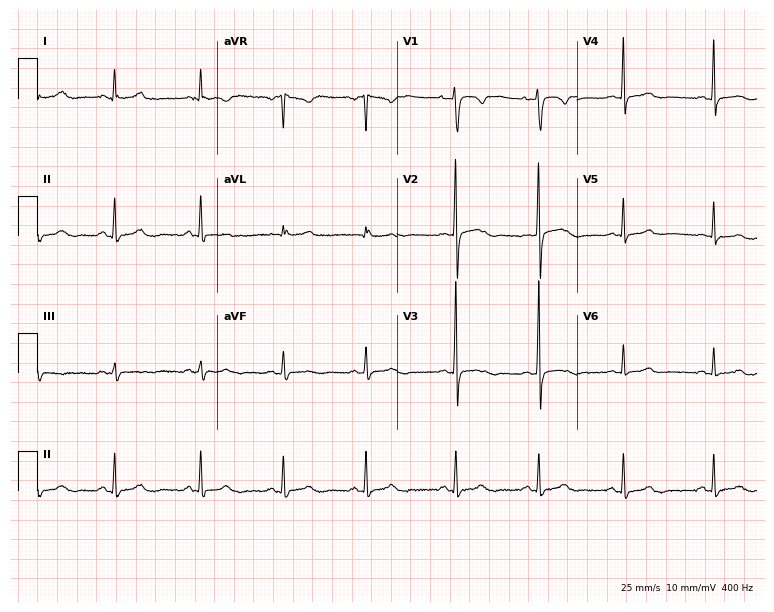
12-lead ECG (7.3-second recording at 400 Hz) from a 26-year-old female. Labelled as a normal ECG.